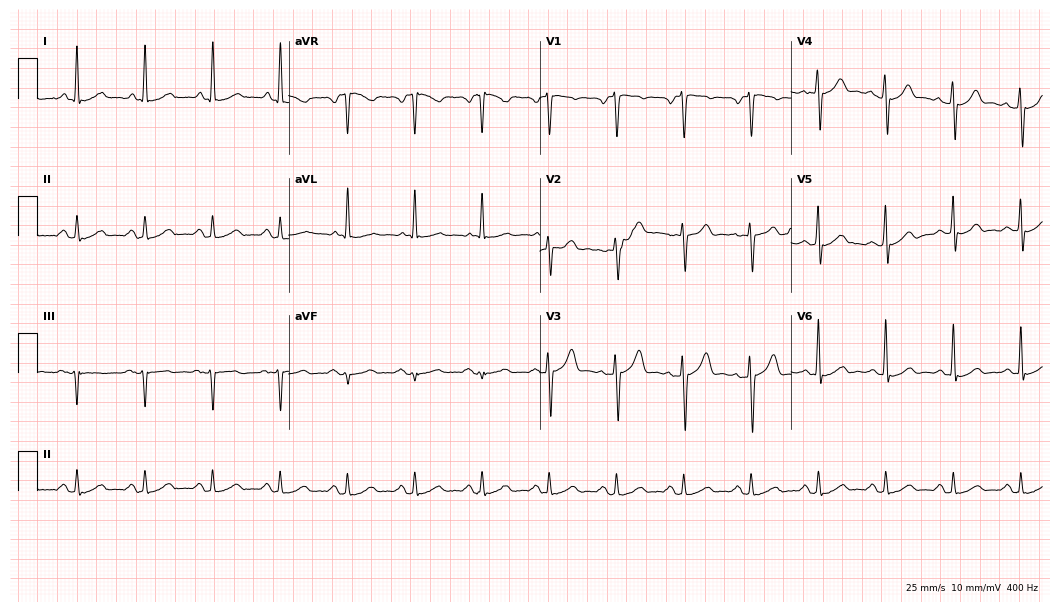
ECG — a 63-year-old male patient. Screened for six findings — first-degree AV block, right bundle branch block (RBBB), left bundle branch block (LBBB), sinus bradycardia, atrial fibrillation (AF), sinus tachycardia — none is recorded. Other findings, if any, are not listed.